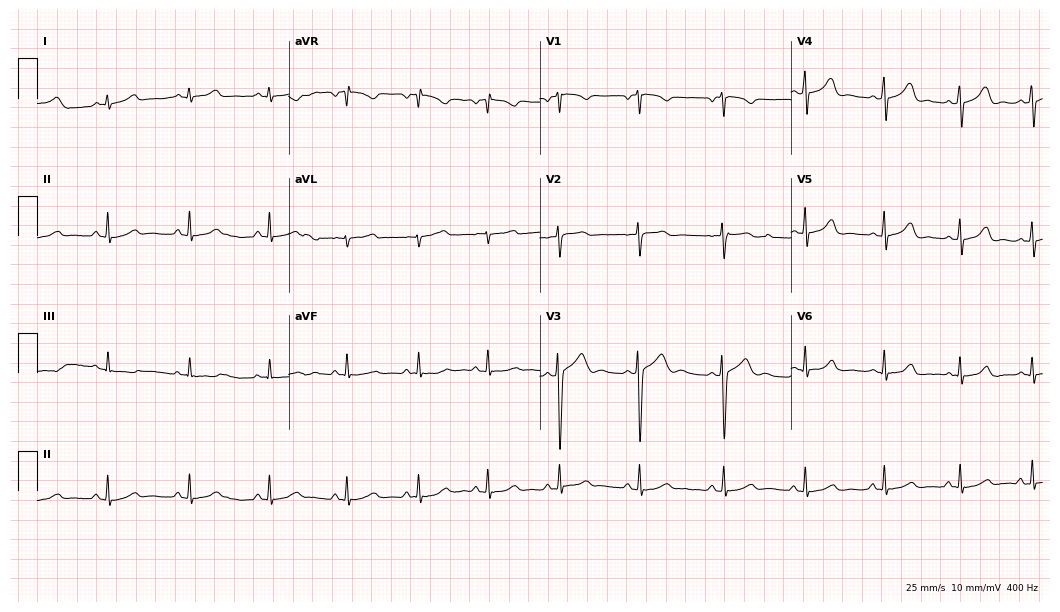
Resting 12-lead electrocardiogram (10.2-second recording at 400 Hz). Patient: a 17-year-old female. Read as a normal ECG.